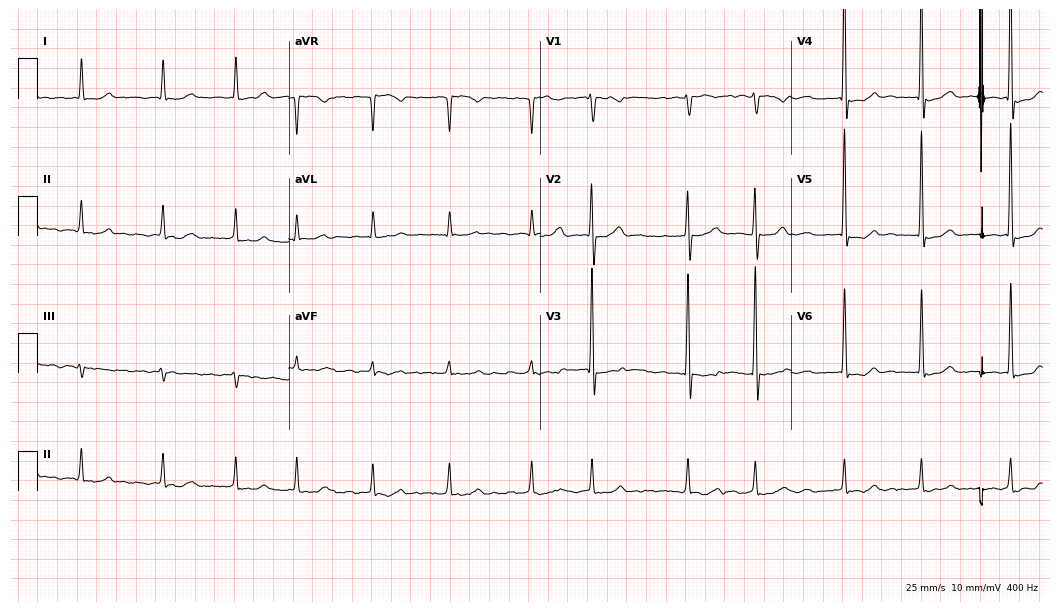
ECG (10.2-second recording at 400 Hz) — a female patient, 75 years old. Findings include atrial fibrillation.